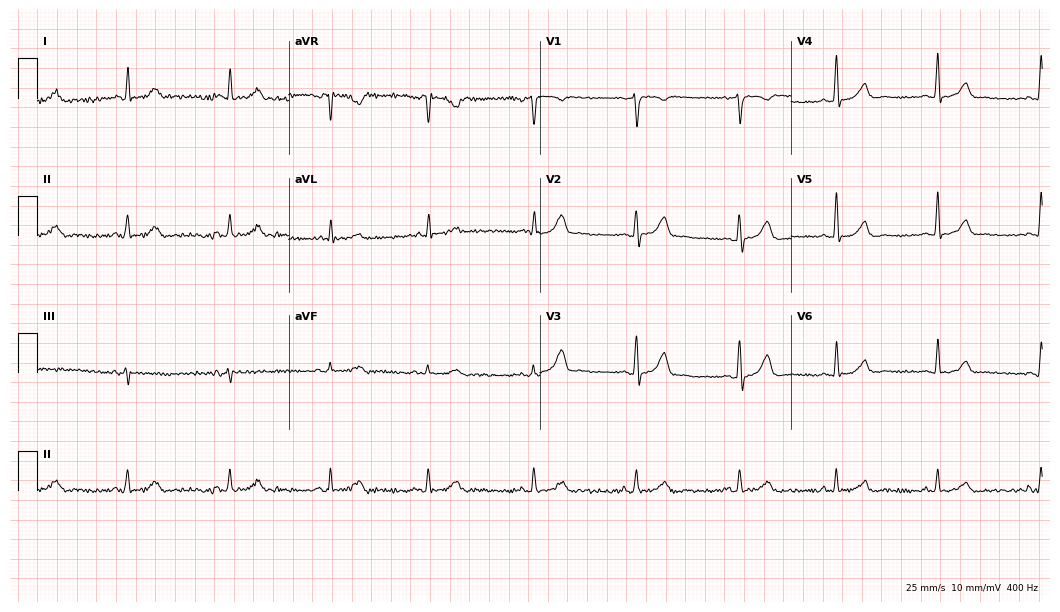
Resting 12-lead electrocardiogram (10.2-second recording at 400 Hz). Patient: a female, 35 years old. None of these six findings is recorded: first-degree AV block, right bundle branch block (RBBB), left bundle branch block (LBBB), sinus bradycardia, atrial fibrillation (AF), sinus tachycardia.